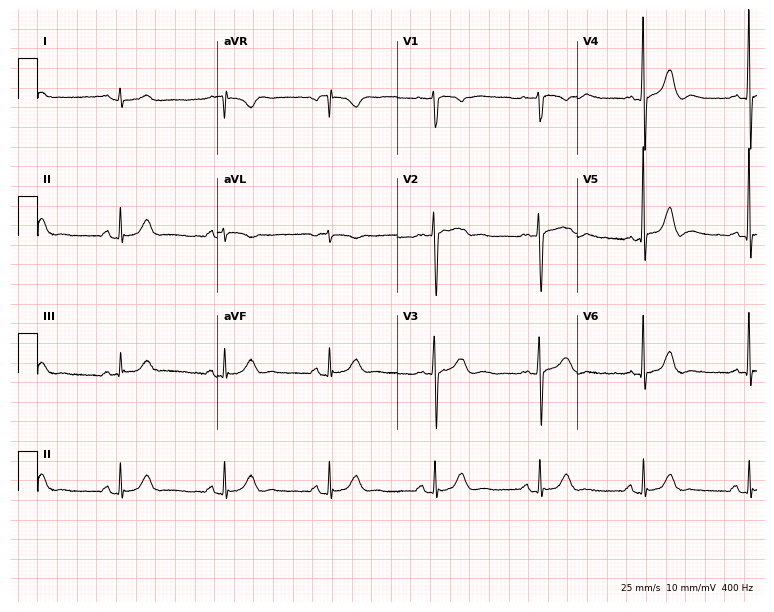
Standard 12-lead ECG recorded from a 65-year-old female patient. Read as a normal ECG.